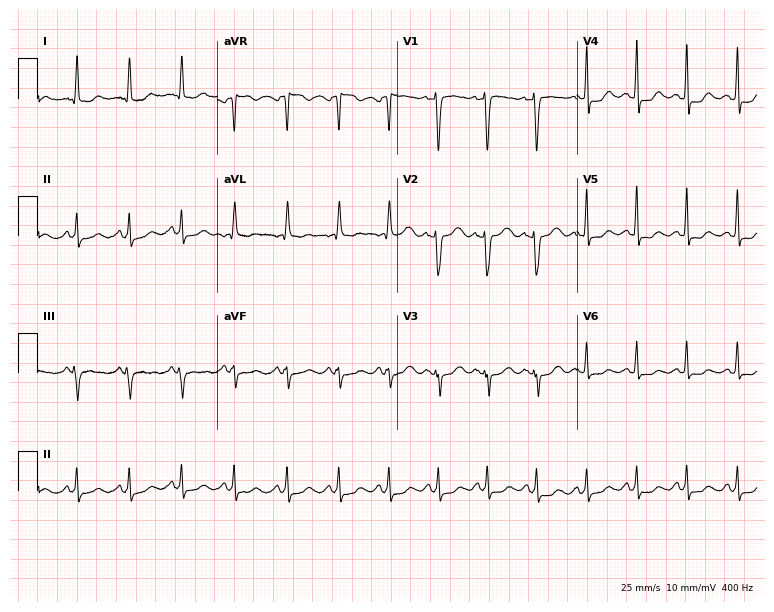
Standard 12-lead ECG recorded from a female, 46 years old (7.3-second recording at 400 Hz). The tracing shows sinus tachycardia (a sinus rate of 100 beats per minute or more).